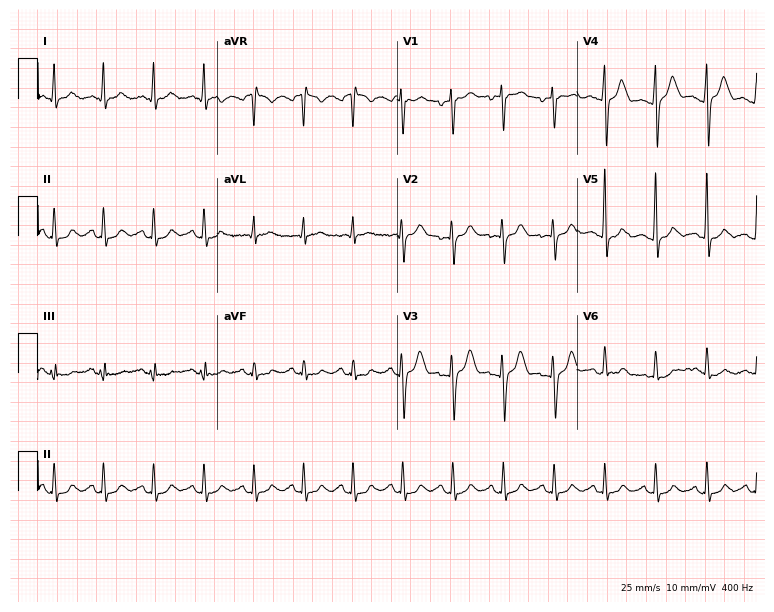
Electrocardiogram, a 30-year-old male patient. Interpretation includes sinus tachycardia (a sinus rate of 100 beats per minute or more).